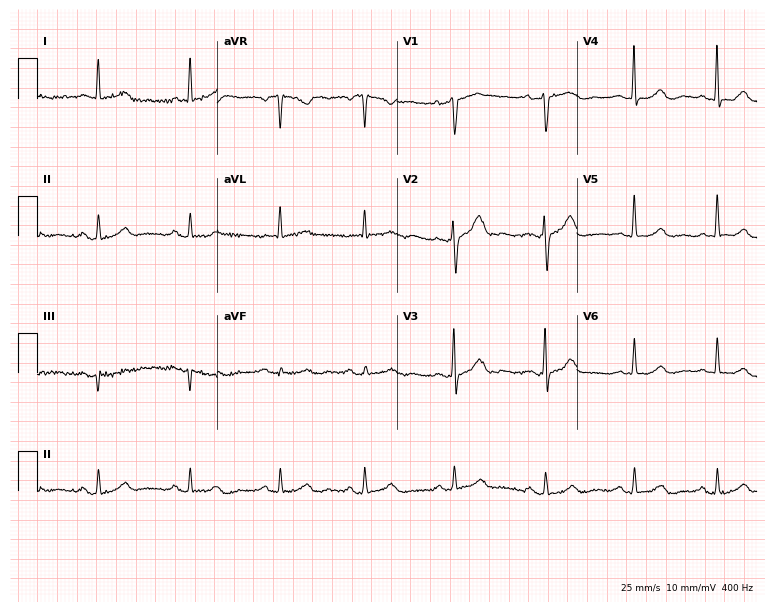
12-lead ECG from a male patient, 52 years old. Recorded interpretation: within normal limits.